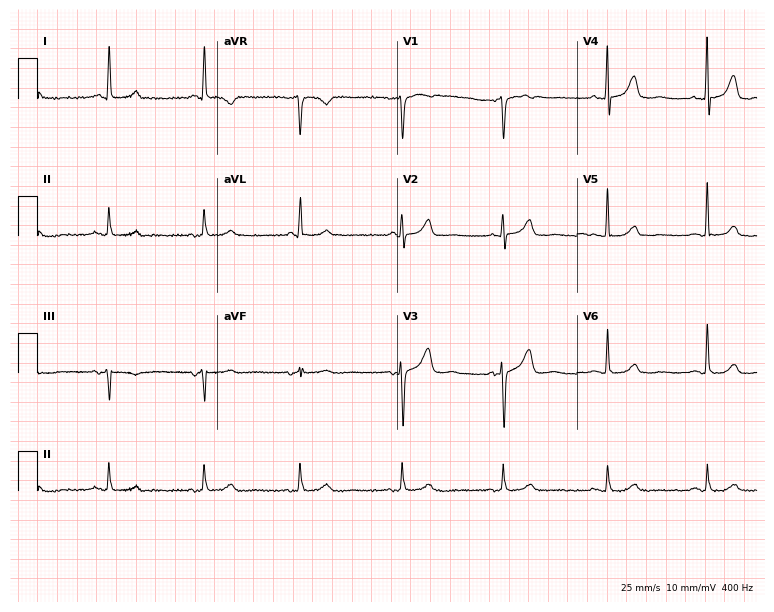
12-lead ECG (7.3-second recording at 400 Hz) from a woman, 54 years old. Labelled as a normal ECG.